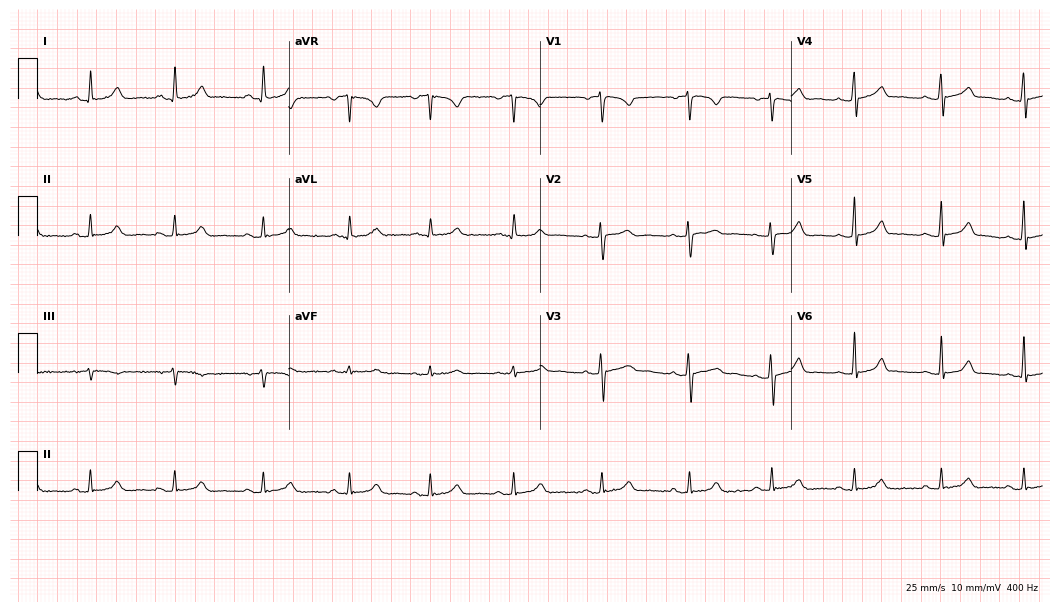
12-lead ECG from a 34-year-old female. No first-degree AV block, right bundle branch block, left bundle branch block, sinus bradycardia, atrial fibrillation or sinus tachycardia recorded for this tracing.